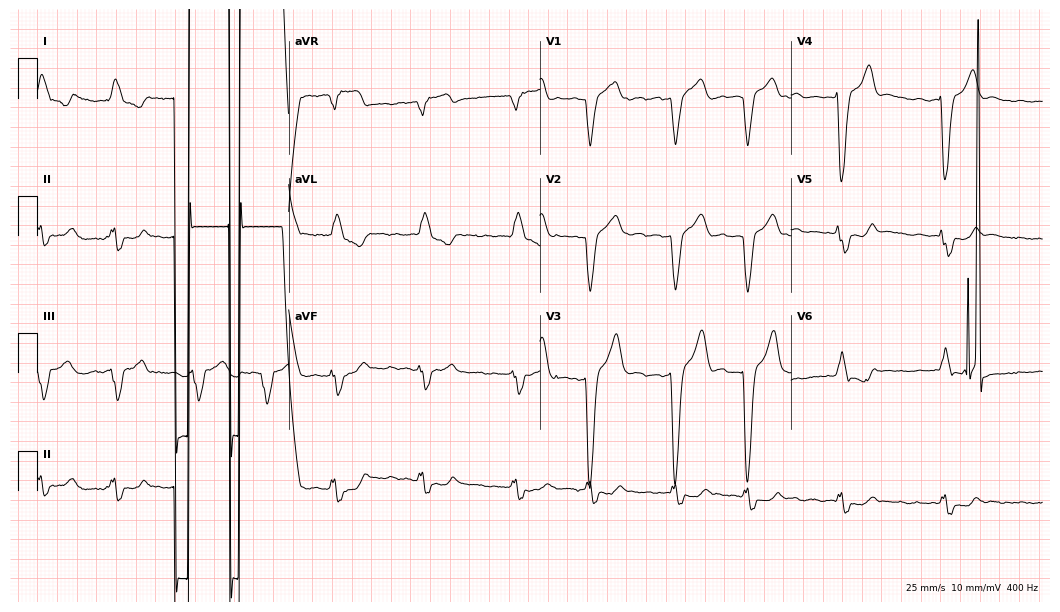
Standard 12-lead ECG recorded from a male patient, 80 years old. The tracing shows atrial fibrillation.